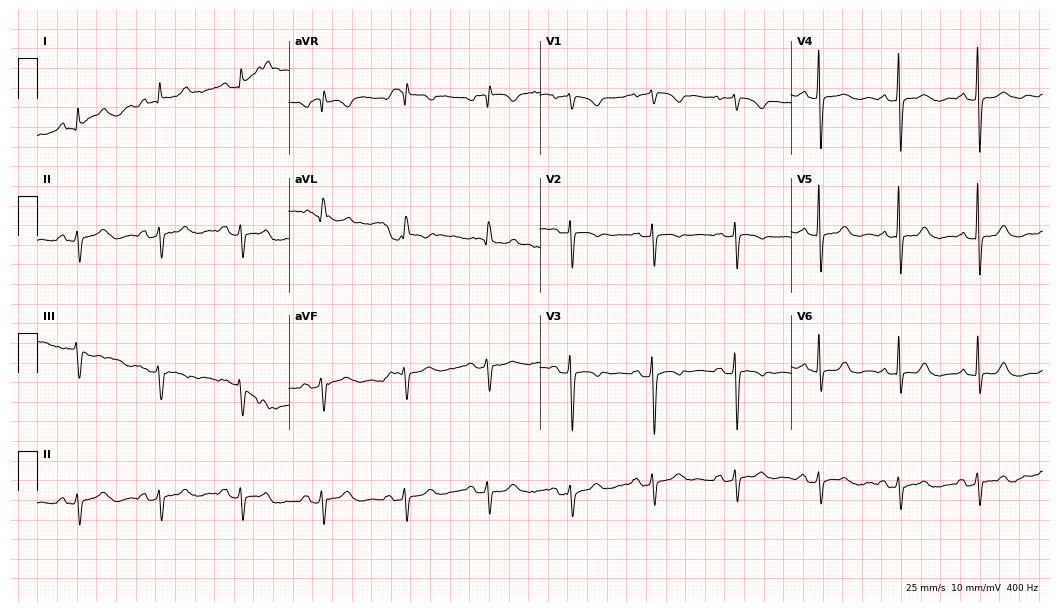
ECG (10.2-second recording at 400 Hz) — a female, 78 years old. Screened for six findings — first-degree AV block, right bundle branch block, left bundle branch block, sinus bradycardia, atrial fibrillation, sinus tachycardia — none is recorded.